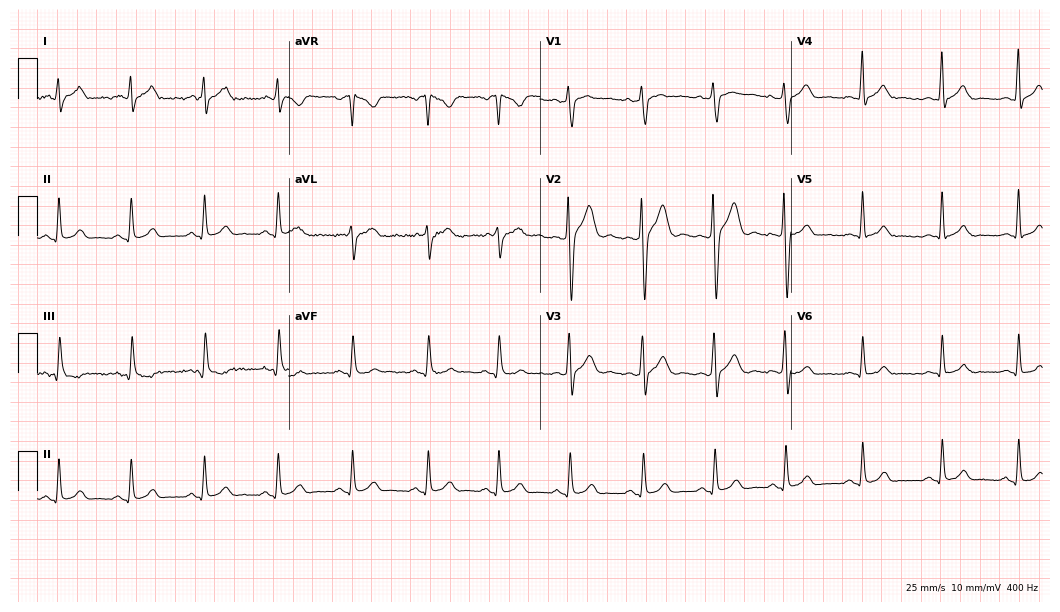
12-lead ECG from a male patient, 25 years old (10.2-second recording at 400 Hz). Recorded interpretation: within normal limits.